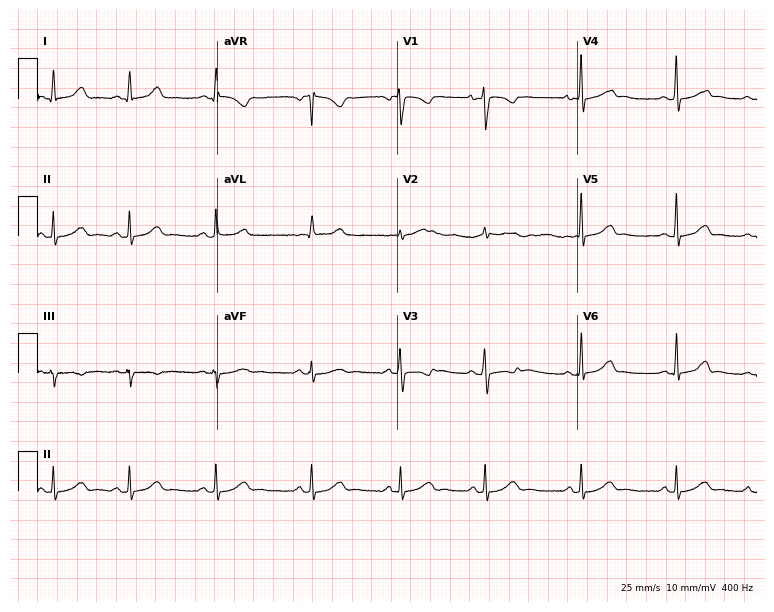
Resting 12-lead electrocardiogram (7.3-second recording at 400 Hz). Patient: a 21-year-old woman. None of these six findings is recorded: first-degree AV block, right bundle branch block, left bundle branch block, sinus bradycardia, atrial fibrillation, sinus tachycardia. Other findings, if any, are not listed.